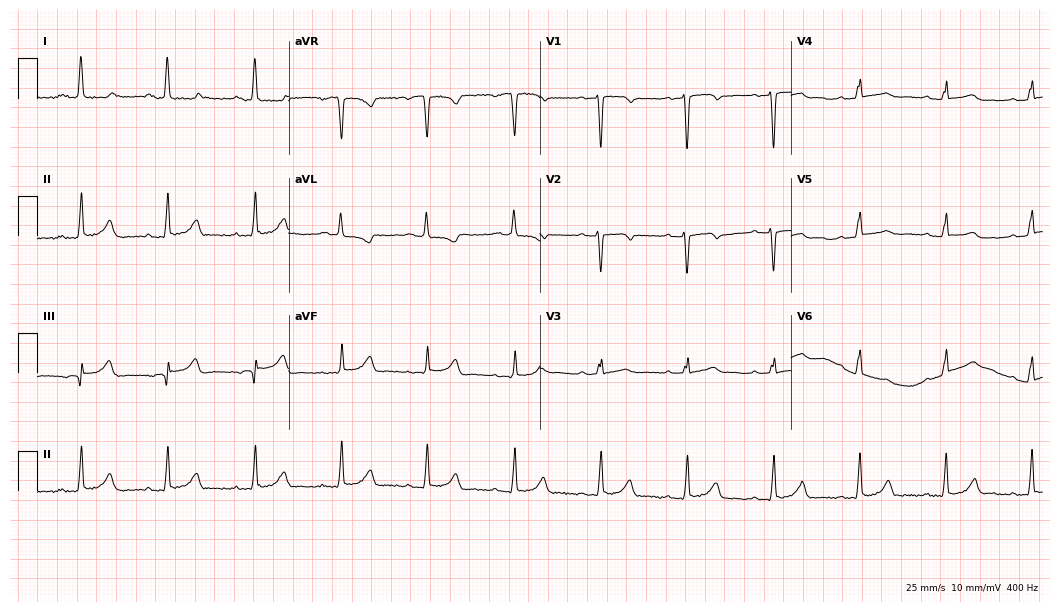
Standard 12-lead ECG recorded from a 71-year-old female patient (10.2-second recording at 400 Hz). Read as a normal ECG.